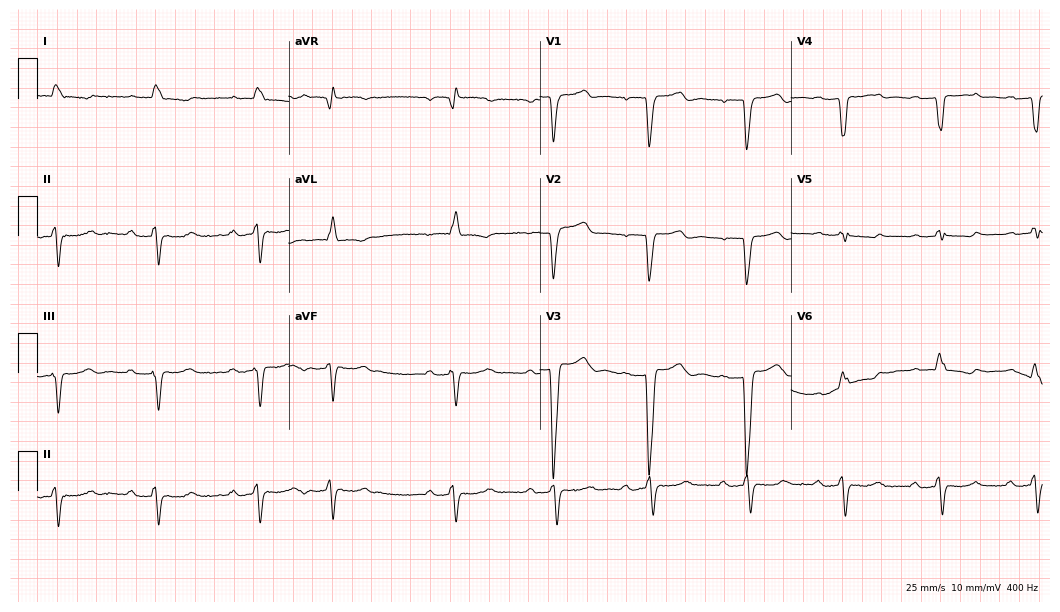
Electrocardiogram, a woman, 84 years old. Interpretation includes first-degree AV block.